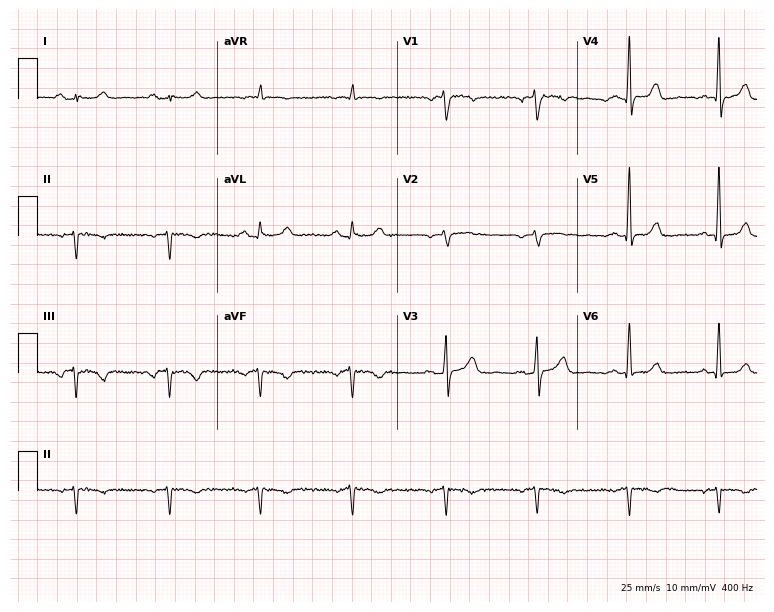
Standard 12-lead ECG recorded from a 74-year-old woman. Read as a normal ECG.